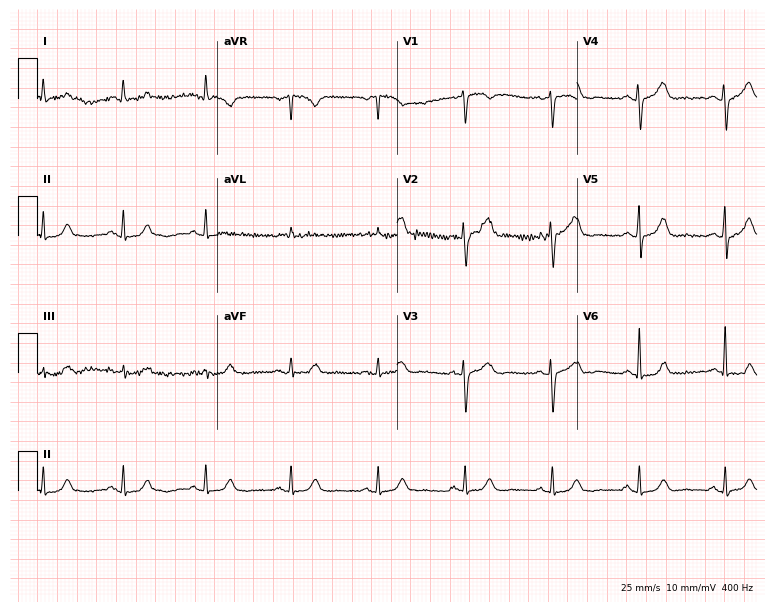
Standard 12-lead ECG recorded from a 69-year-old female patient (7.3-second recording at 400 Hz). Read as a normal ECG.